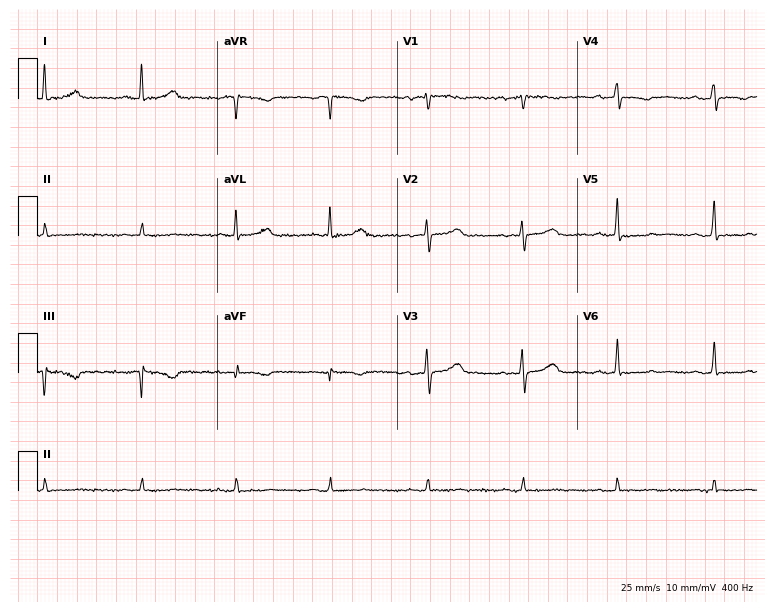
12-lead ECG from a woman, 77 years old (7.3-second recording at 400 Hz). No first-degree AV block, right bundle branch block, left bundle branch block, sinus bradycardia, atrial fibrillation or sinus tachycardia recorded for this tracing. Other findings, if any, are not listed.